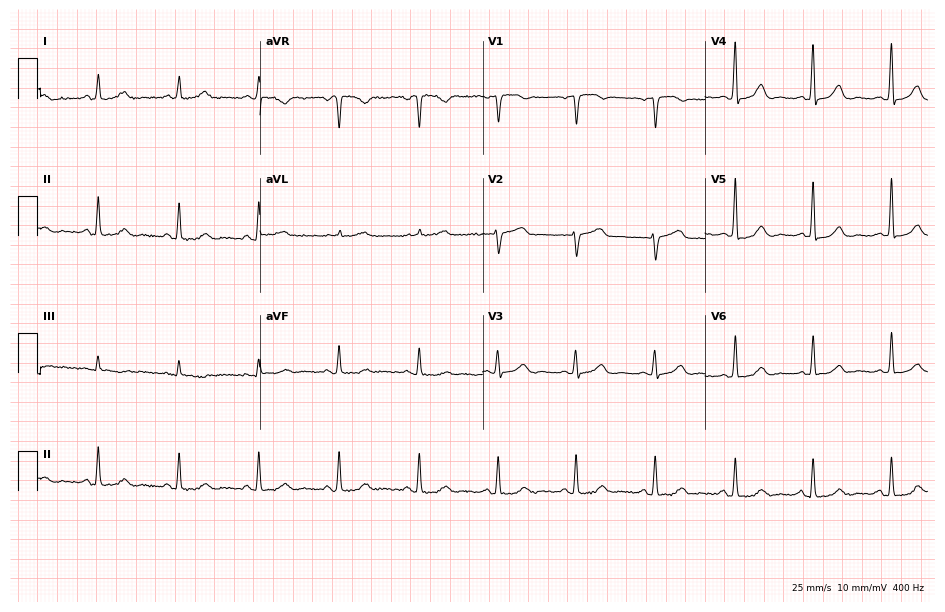
12-lead ECG from a 63-year-old female. Labelled as a normal ECG.